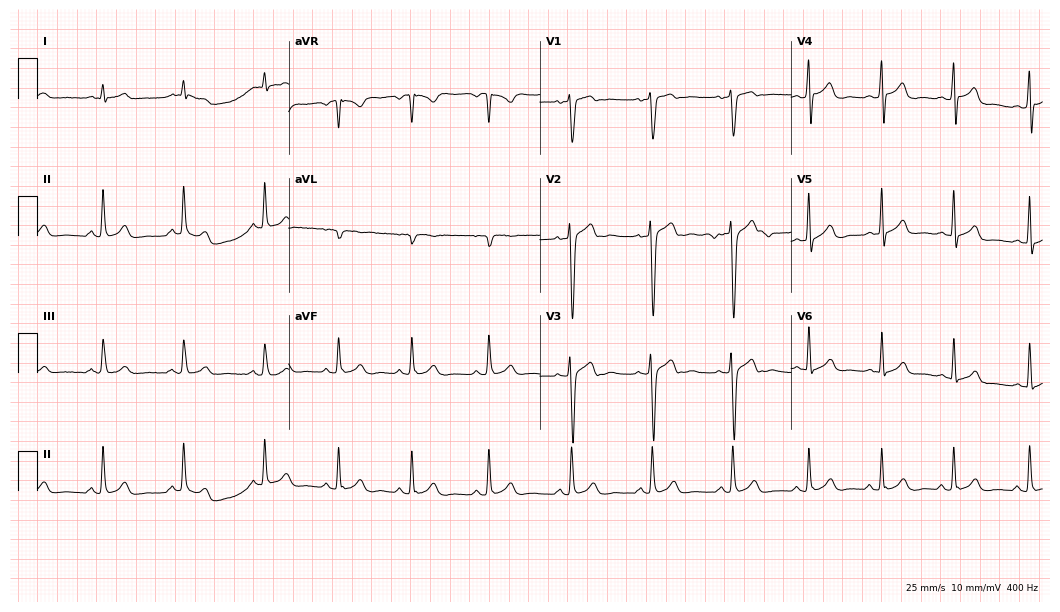
ECG (10.2-second recording at 400 Hz) — a 36-year-old male patient. Screened for six findings — first-degree AV block, right bundle branch block, left bundle branch block, sinus bradycardia, atrial fibrillation, sinus tachycardia — none is recorded.